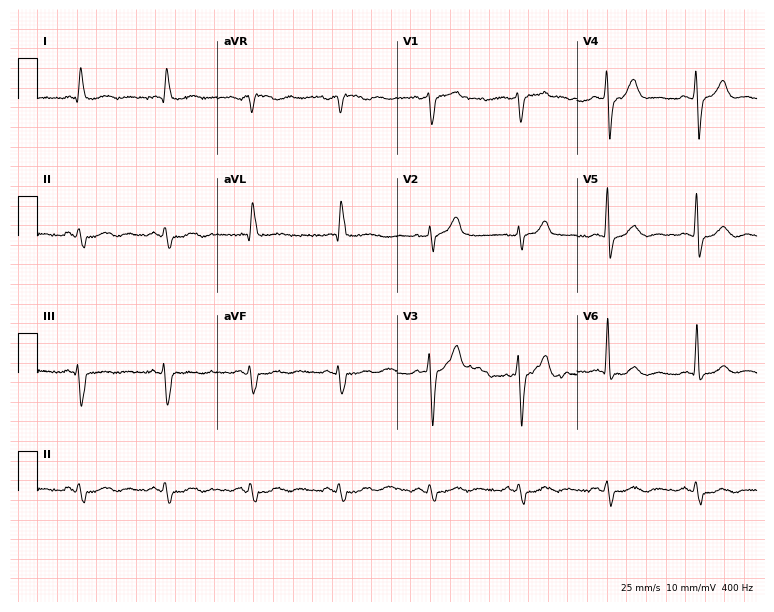
12-lead ECG from a 77-year-old male. Screened for six findings — first-degree AV block, right bundle branch block (RBBB), left bundle branch block (LBBB), sinus bradycardia, atrial fibrillation (AF), sinus tachycardia — none is recorded.